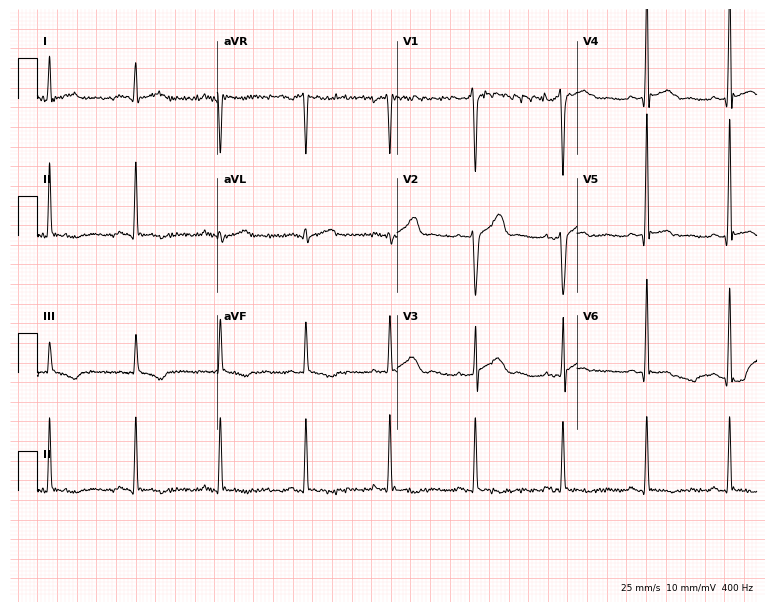
Electrocardiogram, a male, 33 years old. Of the six screened findings (first-degree AV block, right bundle branch block, left bundle branch block, sinus bradycardia, atrial fibrillation, sinus tachycardia), none is recorded.